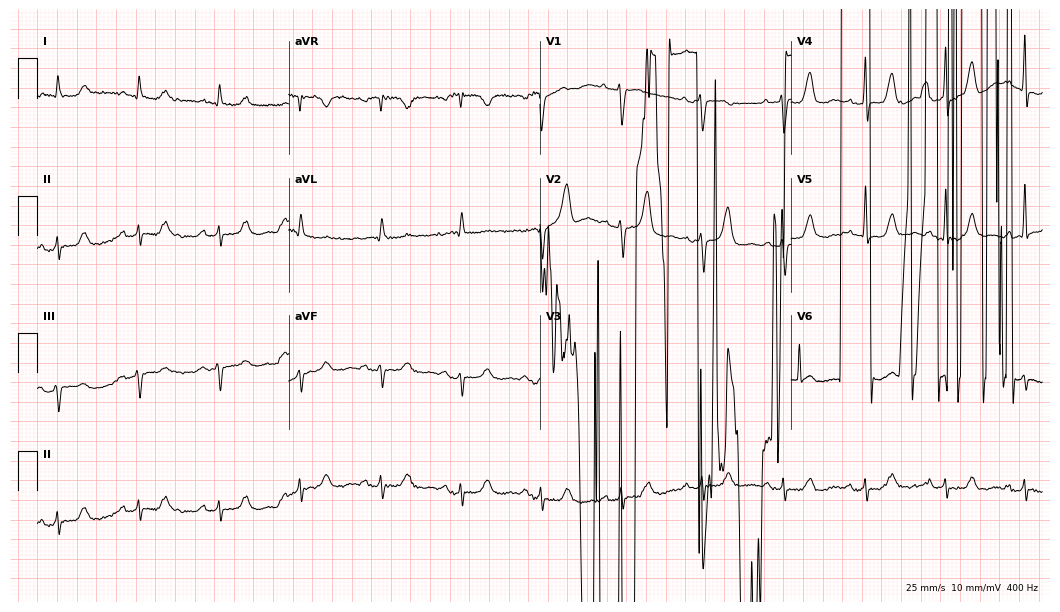
12-lead ECG from a 77-year-old woman. No first-degree AV block, right bundle branch block, left bundle branch block, sinus bradycardia, atrial fibrillation or sinus tachycardia recorded for this tracing.